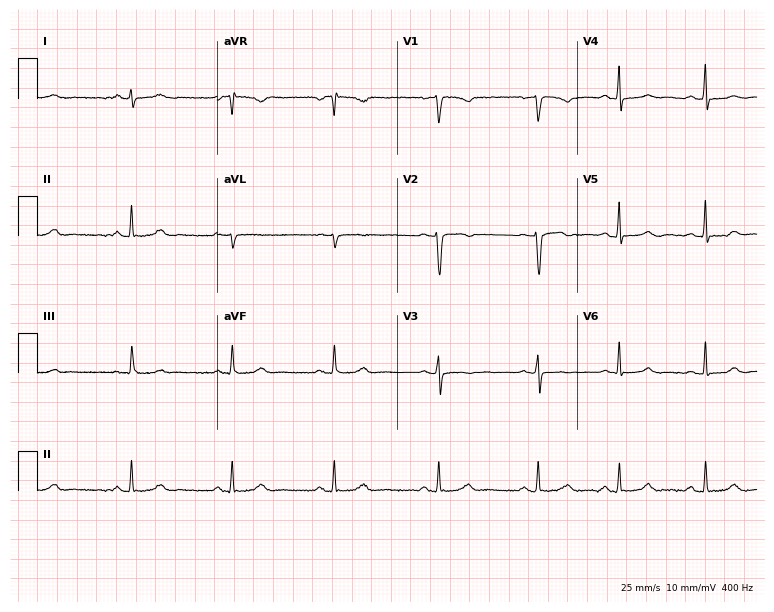
Resting 12-lead electrocardiogram (7.3-second recording at 400 Hz). Patient: a 34-year-old female. None of these six findings is recorded: first-degree AV block, right bundle branch block, left bundle branch block, sinus bradycardia, atrial fibrillation, sinus tachycardia. Only these six findings were labelled.